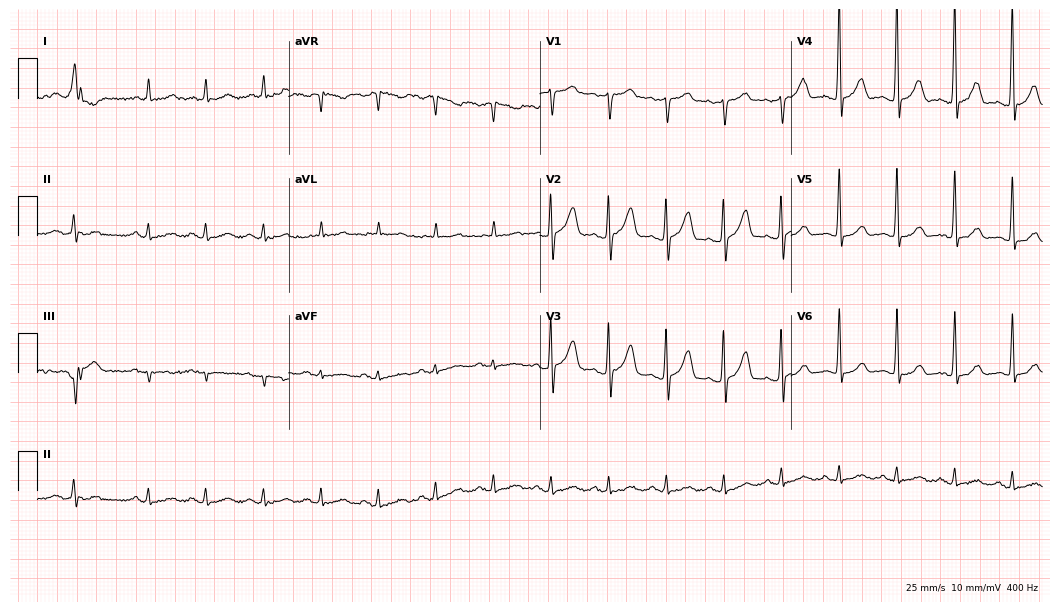
Electrocardiogram (10.2-second recording at 400 Hz), a male, 81 years old. Of the six screened findings (first-degree AV block, right bundle branch block, left bundle branch block, sinus bradycardia, atrial fibrillation, sinus tachycardia), none is recorded.